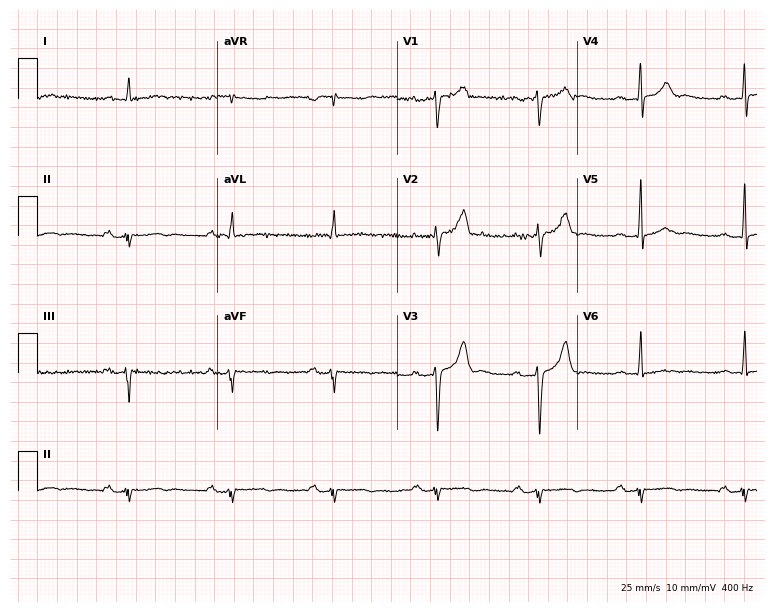
12-lead ECG (7.3-second recording at 400 Hz) from a 44-year-old male patient. Screened for six findings — first-degree AV block, right bundle branch block (RBBB), left bundle branch block (LBBB), sinus bradycardia, atrial fibrillation (AF), sinus tachycardia — none is recorded.